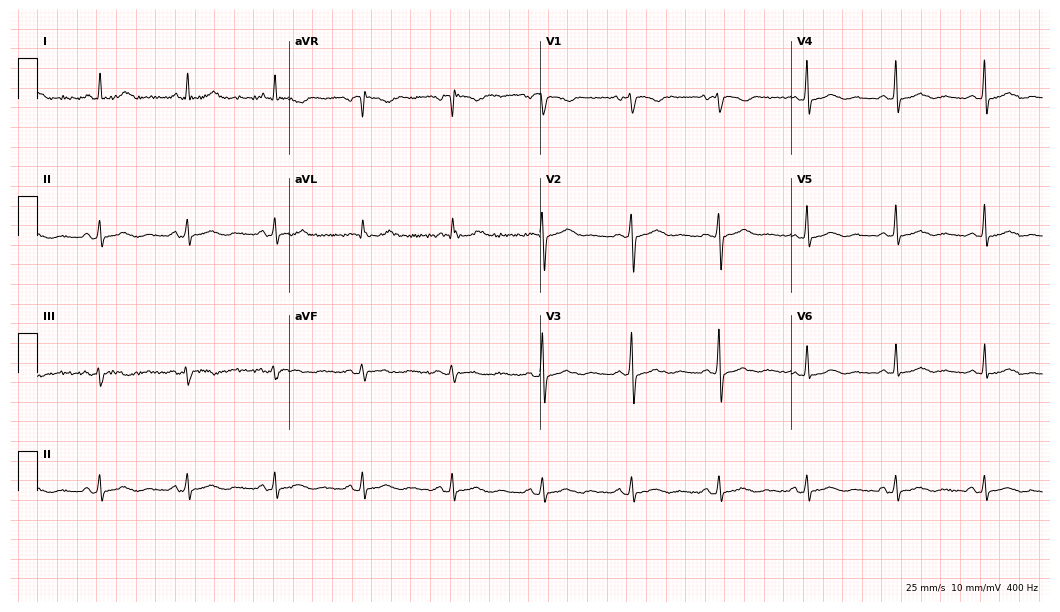
Standard 12-lead ECG recorded from a 72-year-old female. Read as a normal ECG.